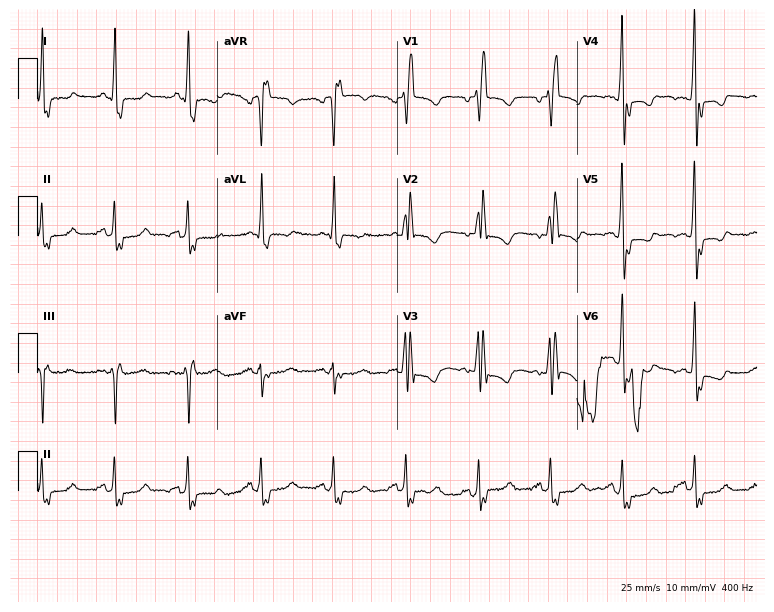
Electrocardiogram (7.3-second recording at 400 Hz), a female, 66 years old. Interpretation includes right bundle branch block (RBBB).